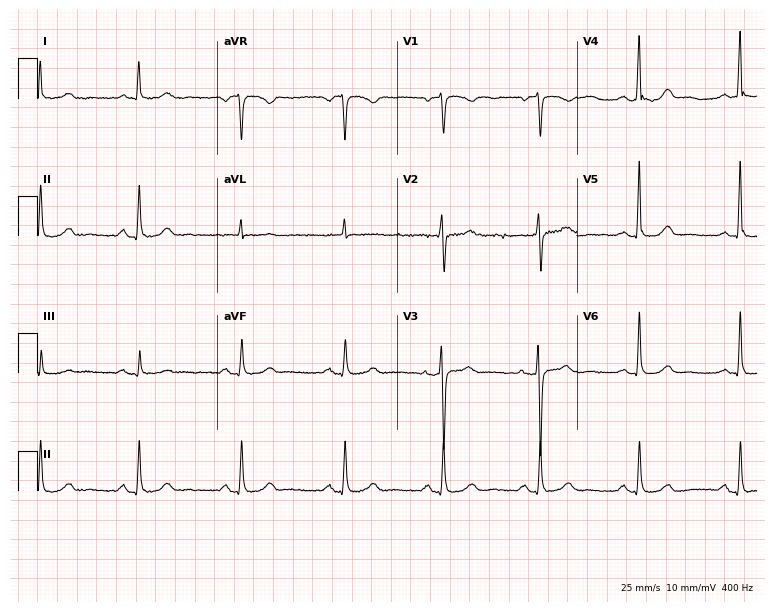
Resting 12-lead electrocardiogram (7.3-second recording at 400 Hz). Patient: a female, 68 years old. Read as a normal ECG.